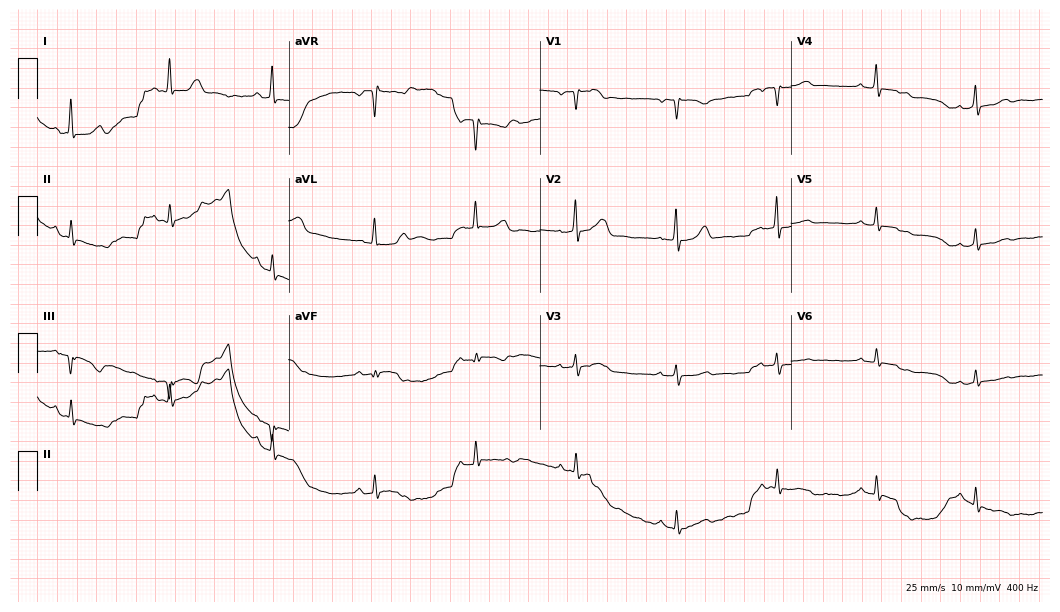
Electrocardiogram, a 70-year-old female patient. Of the six screened findings (first-degree AV block, right bundle branch block, left bundle branch block, sinus bradycardia, atrial fibrillation, sinus tachycardia), none is recorded.